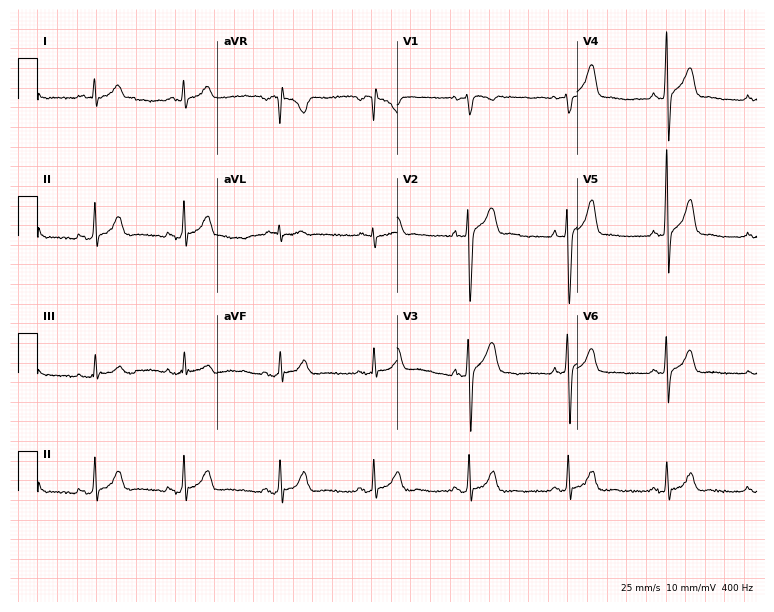
Electrocardiogram (7.3-second recording at 400 Hz), a man, 45 years old. Of the six screened findings (first-degree AV block, right bundle branch block (RBBB), left bundle branch block (LBBB), sinus bradycardia, atrial fibrillation (AF), sinus tachycardia), none is recorded. Only these six findings were labelled.